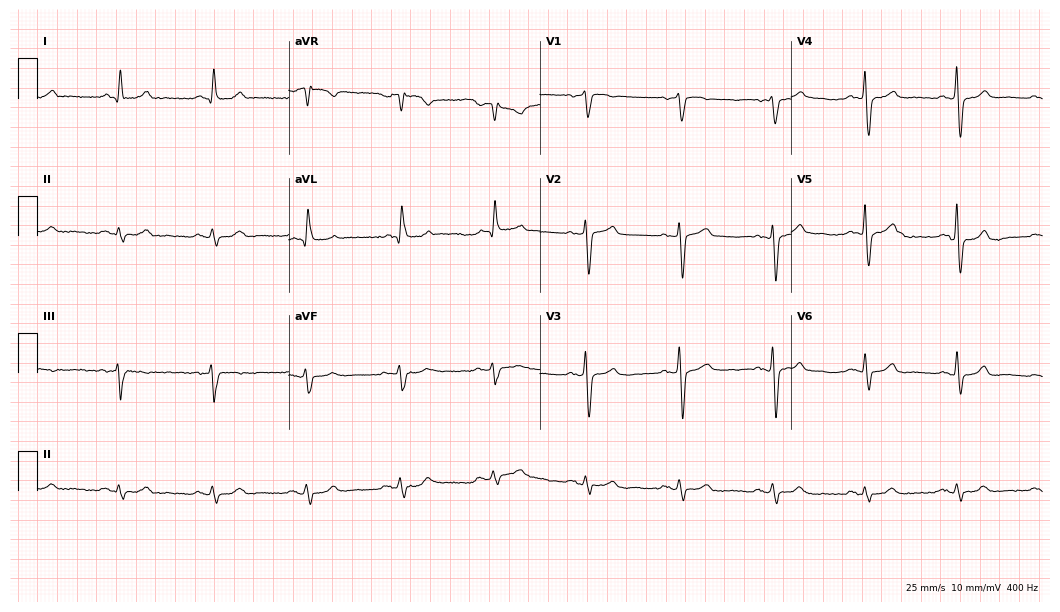
Resting 12-lead electrocardiogram (10.2-second recording at 400 Hz). Patient: a male, 70 years old. None of these six findings is recorded: first-degree AV block, right bundle branch block, left bundle branch block, sinus bradycardia, atrial fibrillation, sinus tachycardia. Findings outside these six are not listed.